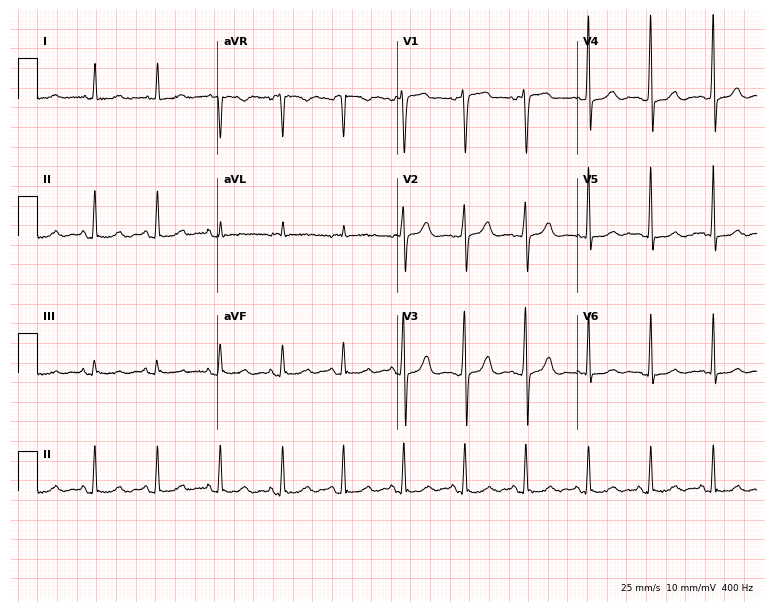
12-lead ECG from a 37-year-old male (7.3-second recording at 400 Hz). Recorded interpretation: within normal limits.